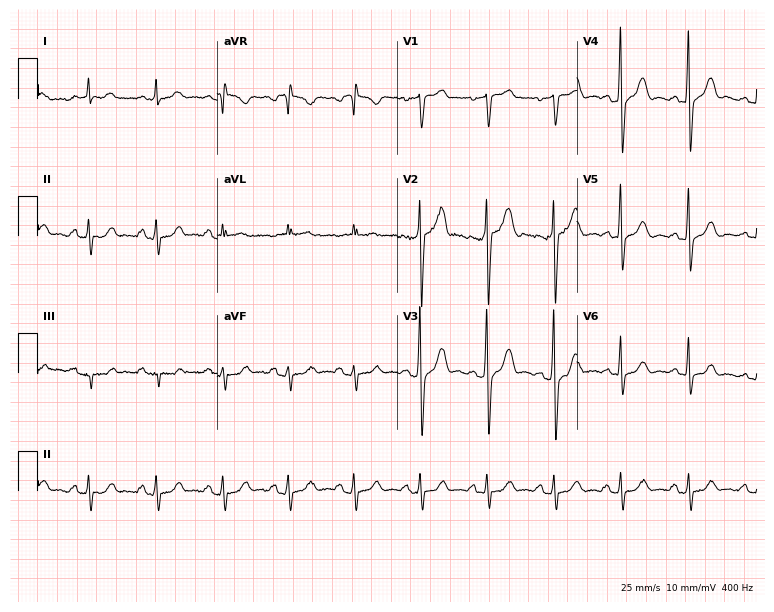
12-lead ECG from a female, 59 years old (7.3-second recording at 400 Hz). No first-degree AV block, right bundle branch block (RBBB), left bundle branch block (LBBB), sinus bradycardia, atrial fibrillation (AF) or sinus tachycardia recorded for this tracing.